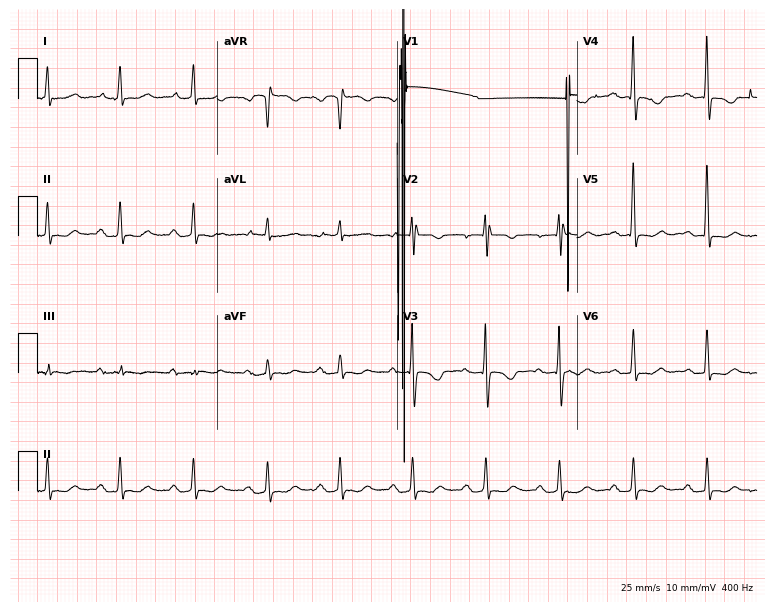
Resting 12-lead electrocardiogram (7.3-second recording at 400 Hz). Patient: a 62-year-old female. None of these six findings is recorded: first-degree AV block, right bundle branch block (RBBB), left bundle branch block (LBBB), sinus bradycardia, atrial fibrillation (AF), sinus tachycardia.